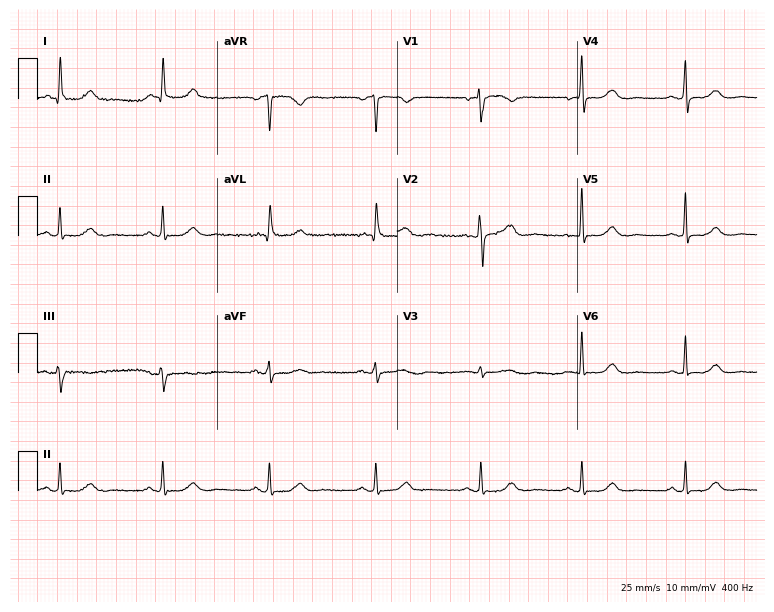
Standard 12-lead ECG recorded from a female, 60 years old. Read as a normal ECG.